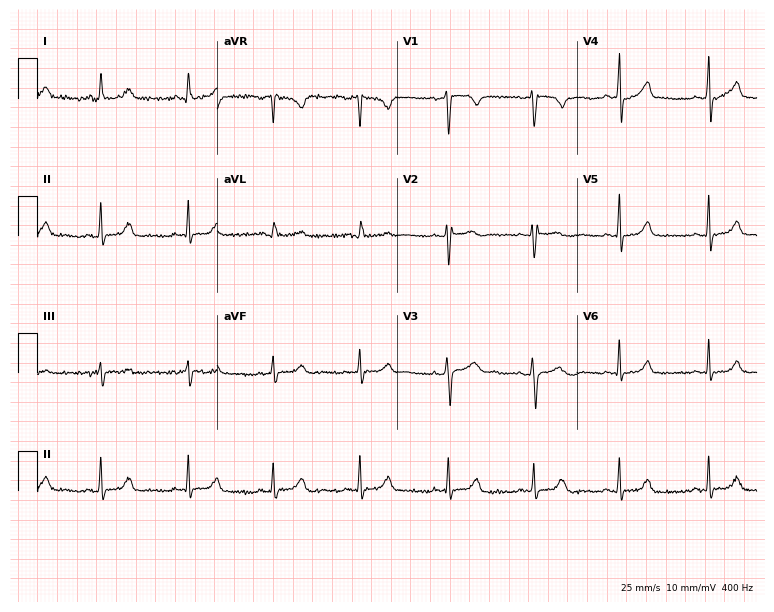
Standard 12-lead ECG recorded from a female patient, 26 years old (7.3-second recording at 400 Hz). Read as a normal ECG.